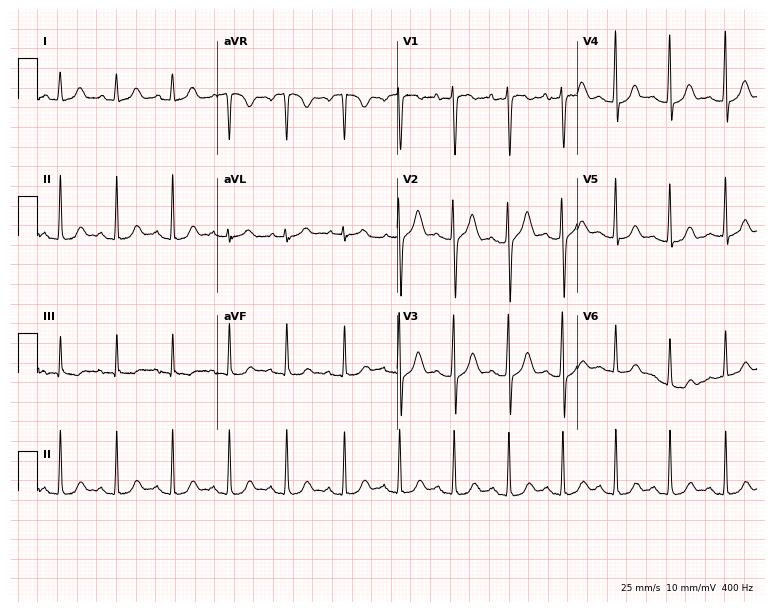
Electrocardiogram, a female, 17 years old. Interpretation includes sinus tachycardia (a sinus rate of 100 beats per minute or more).